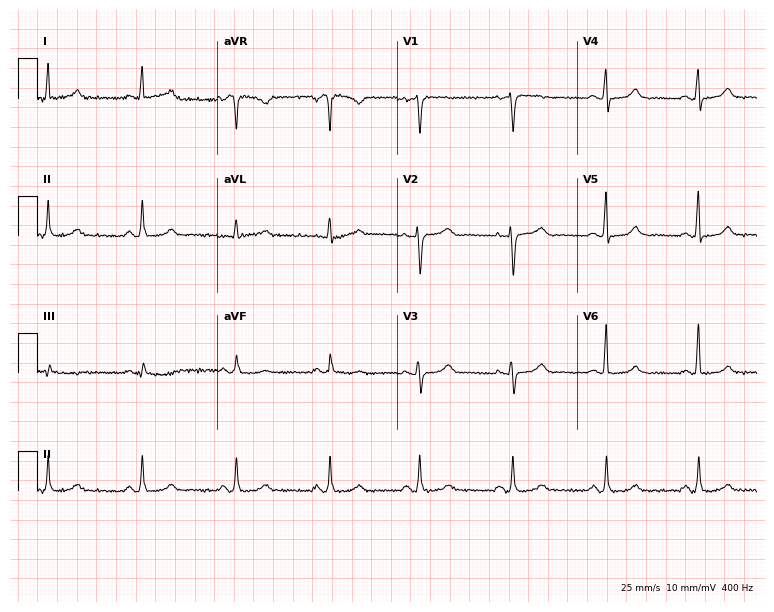
Standard 12-lead ECG recorded from a 54-year-old woman. None of these six findings is recorded: first-degree AV block, right bundle branch block (RBBB), left bundle branch block (LBBB), sinus bradycardia, atrial fibrillation (AF), sinus tachycardia.